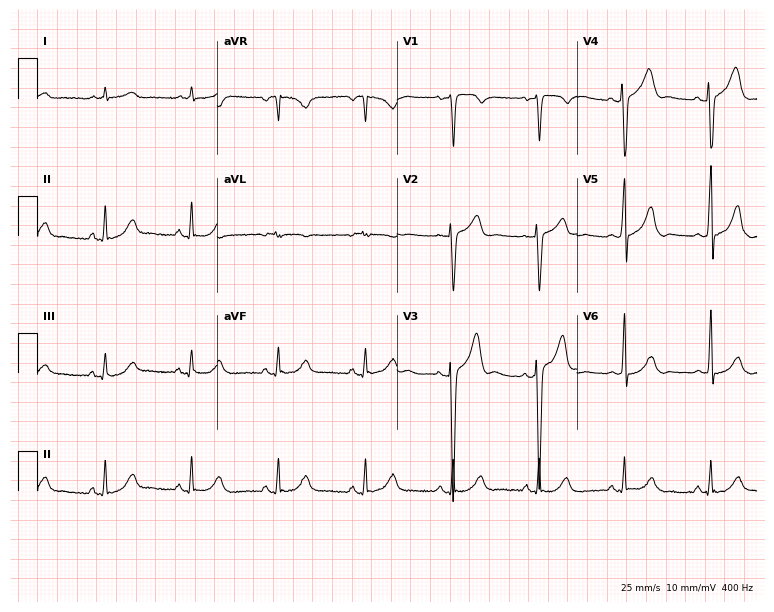
12-lead ECG from a 63-year-old male patient. Recorded interpretation: within normal limits.